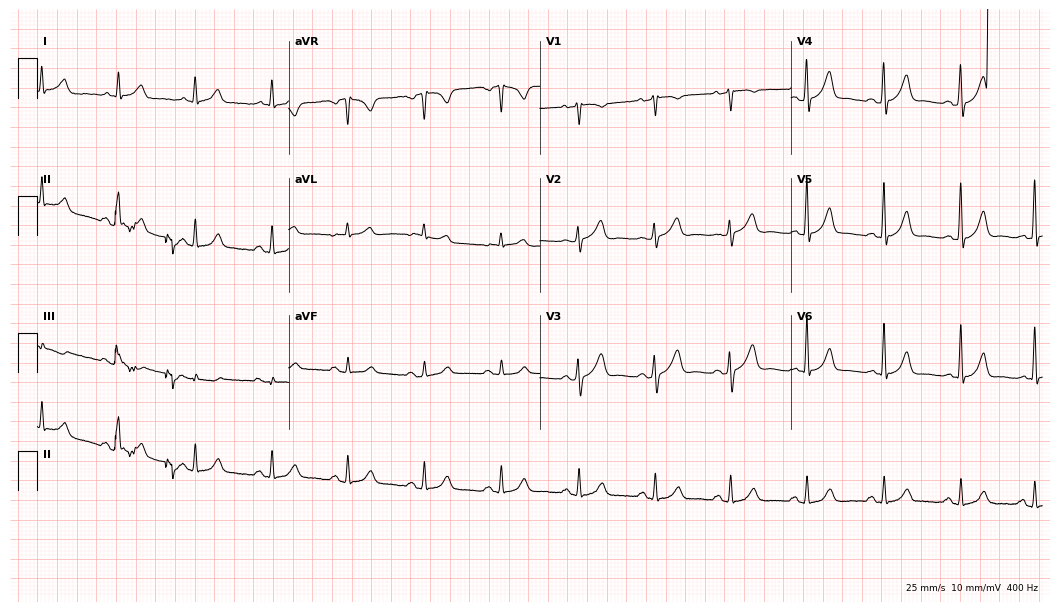
12-lead ECG from a 58-year-old male. Recorded interpretation: within normal limits.